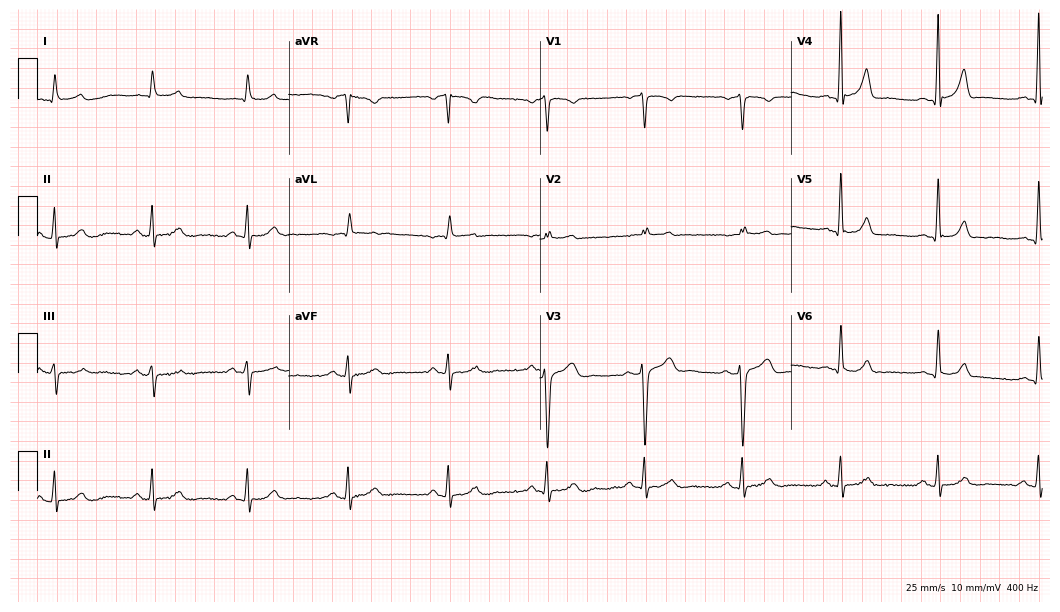
Electrocardiogram (10.2-second recording at 400 Hz), a man, 41 years old. Overall reading on record: normal ECG.